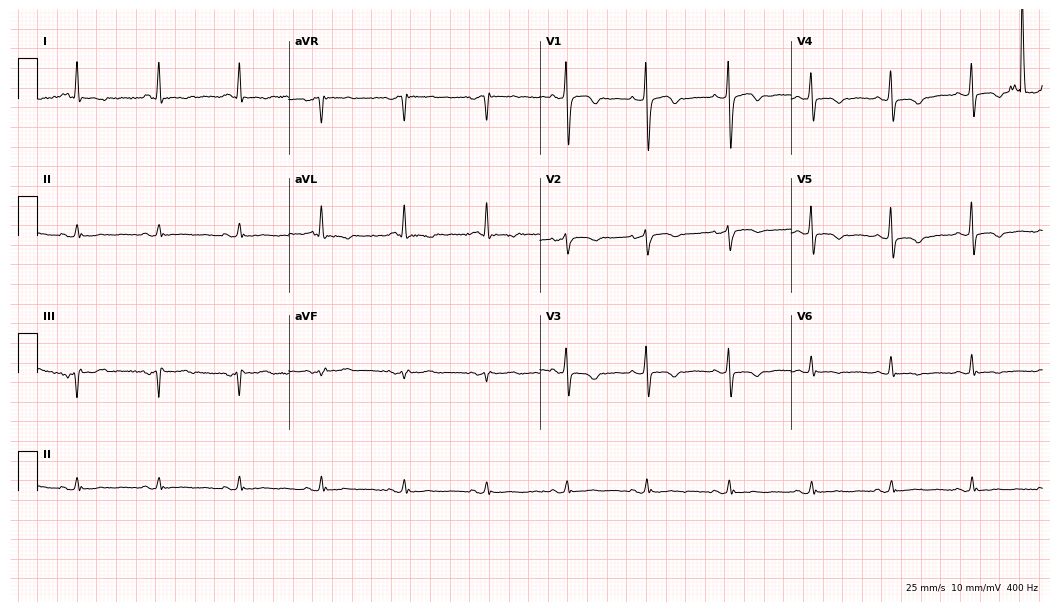
Standard 12-lead ECG recorded from a 74-year-old female. None of these six findings is recorded: first-degree AV block, right bundle branch block (RBBB), left bundle branch block (LBBB), sinus bradycardia, atrial fibrillation (AF), sinus tachycardia. Other findings, if any, are not listed.